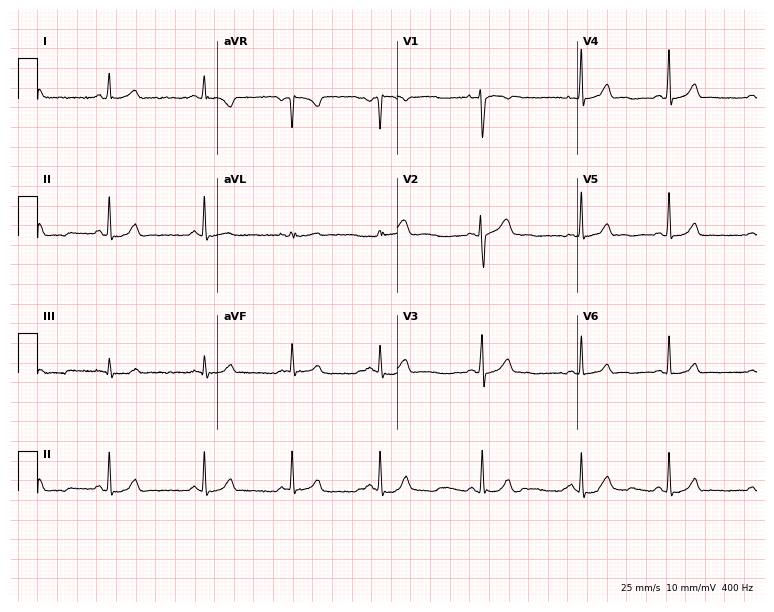
Resting 12-lead electrocardiogram. Patient: a female, 19 years old. Read as a normal ECG.